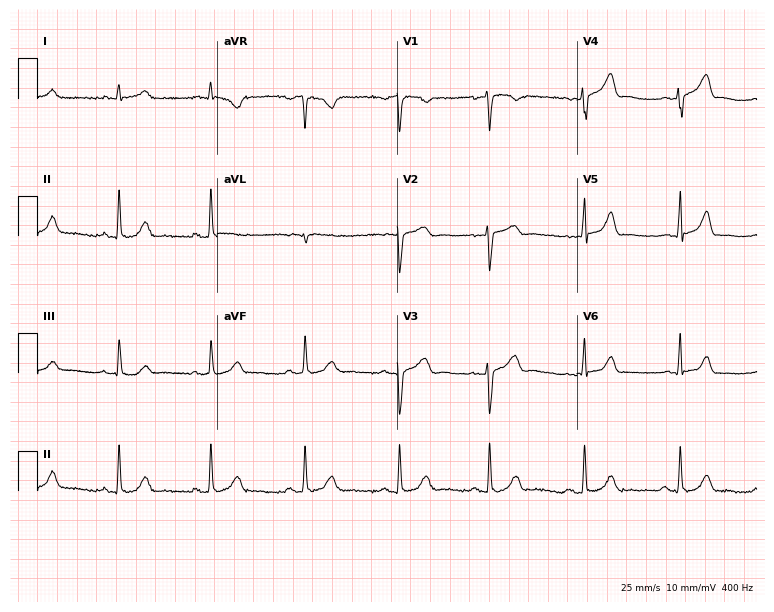
Electrocardiogram (7.3-second recording at 400 Hz), a male patient, 55 years old. Overall reading on record: normal ECG.